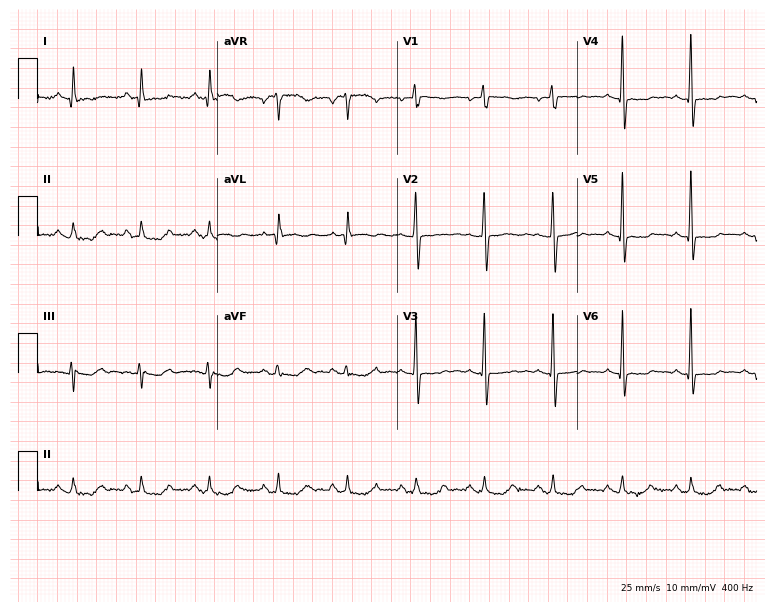
Standard 12-lead ECG recorded from a female, 64 years old. None of these six findings is recorded: first-degree AV block, right bundle branch block, left bundle branch block, sinus bradycardia, atrial fibrillation, sinus tachycardia.